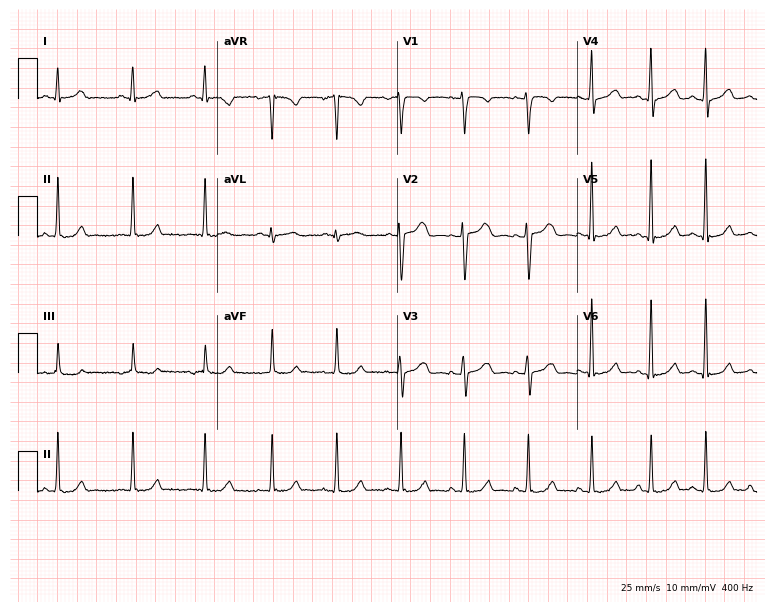
ECG — a 40-year-old woman. Screened for six findings — first-degree AV block, right bundle branch block, left bundle branch block, sinus bradycardia, atrial fibrillation, sinus tachycardia — none is recorded.